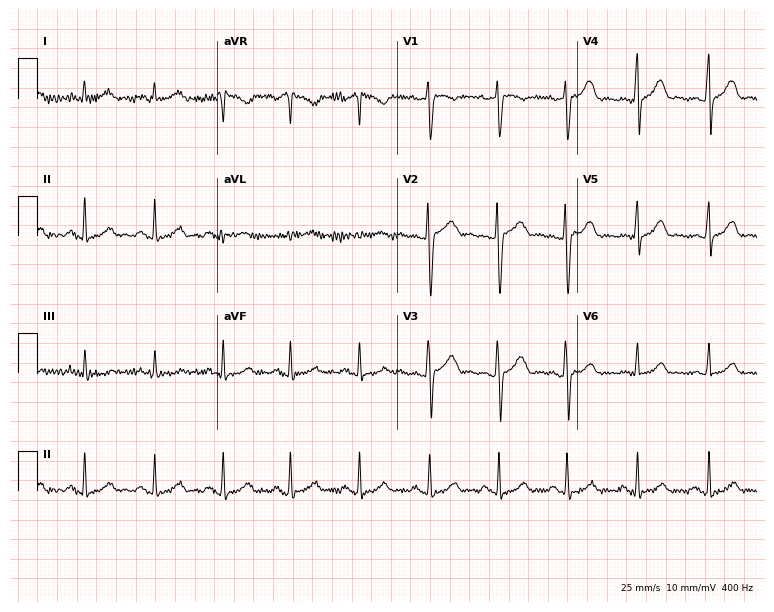
Standard 12-lead ECG recorded from a 38-year-old woman. None of these six findings is recorded: first-degree AV block, right bundle branch block, left bundle branch block, sinus bradycardia, atrial fibrillation, sinus tachycardia.